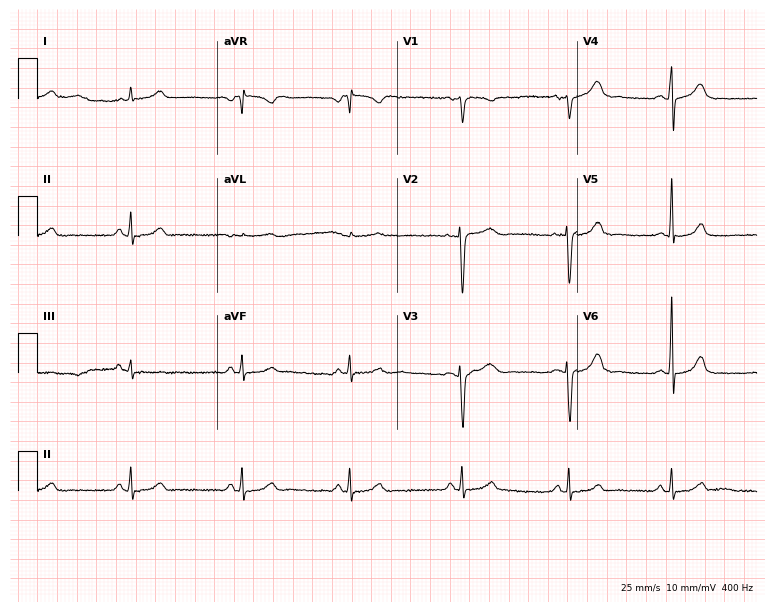
Resting 12-lead electrocardiogram (7.3-second recording at 400 Hz). Patient: a female, 48 years old. Read as a normal ECG.